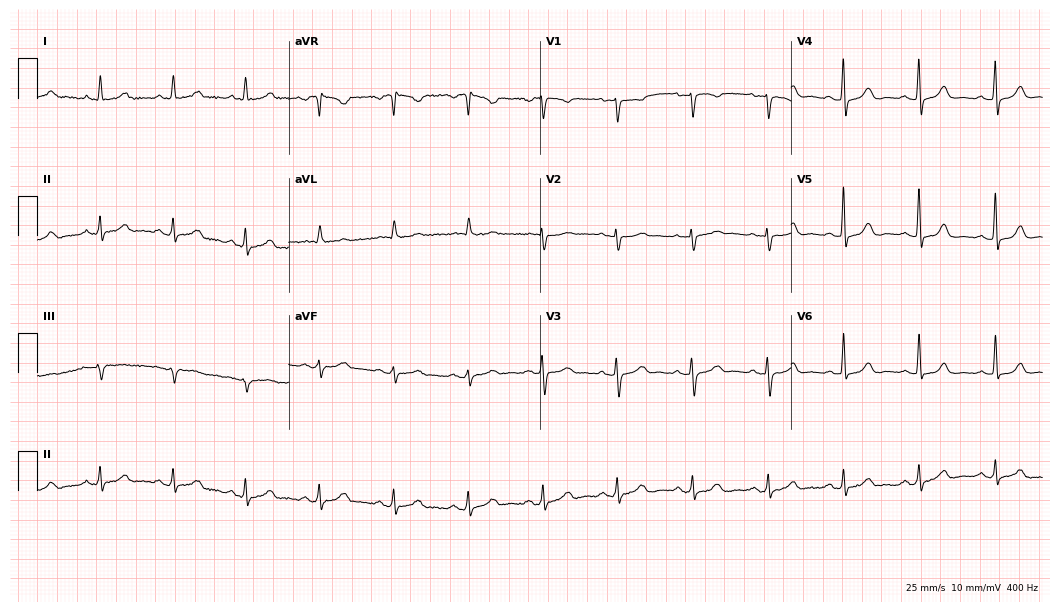
12-lead ECG from a woman, 69 years old. Recorded interpretation: within normal limits.